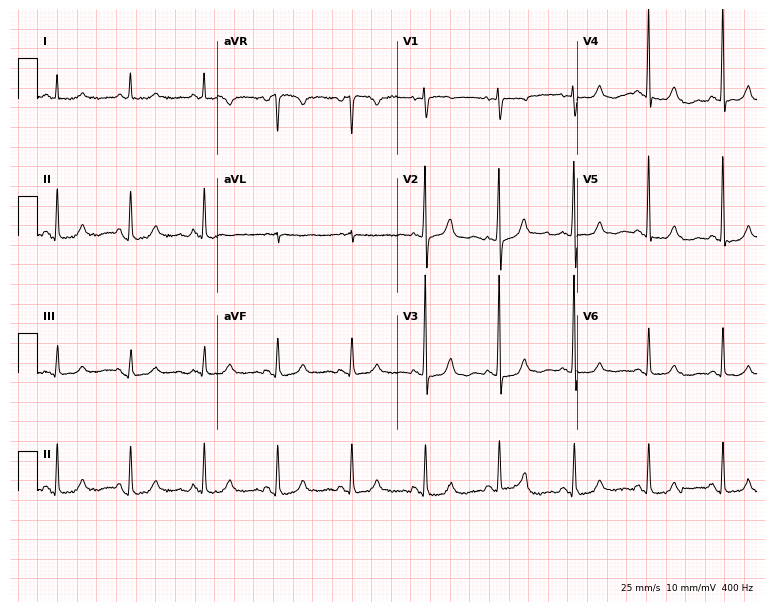
Standard 12-lead ECG recorded from an 81-year-old female. Read as a normal ECG.